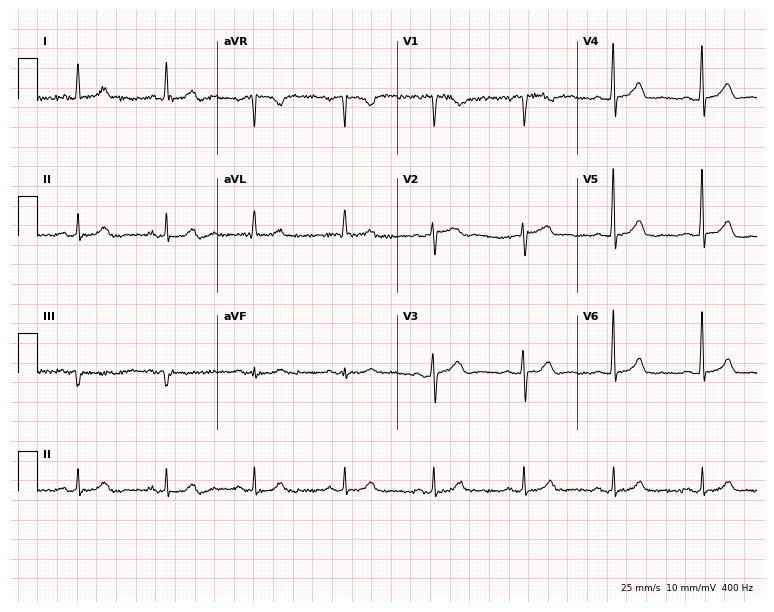
Standard 12-lead ECG recorded from a 66-year-old male patient (7.3-second recording at 400 Hz). Read as a normal ECG.